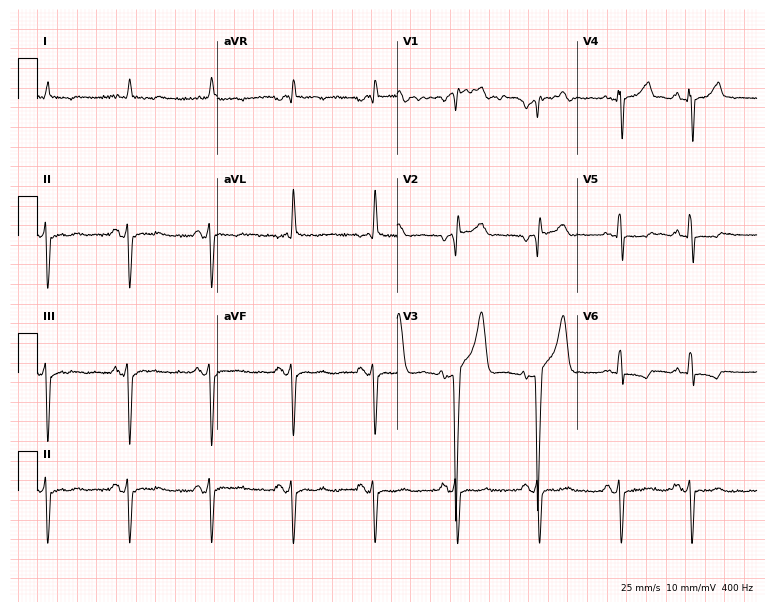
Standard 12-lead ECG recorded from a man, 62 years old (7.3-second recording at 400 Hz). None of these six findings is recorded: first-degree AV block, right bundle branch block (RBBB), left bundle branch block (LBBB), sinus bradycardia, atrial fibrillation (AF), sinus tachycardia.